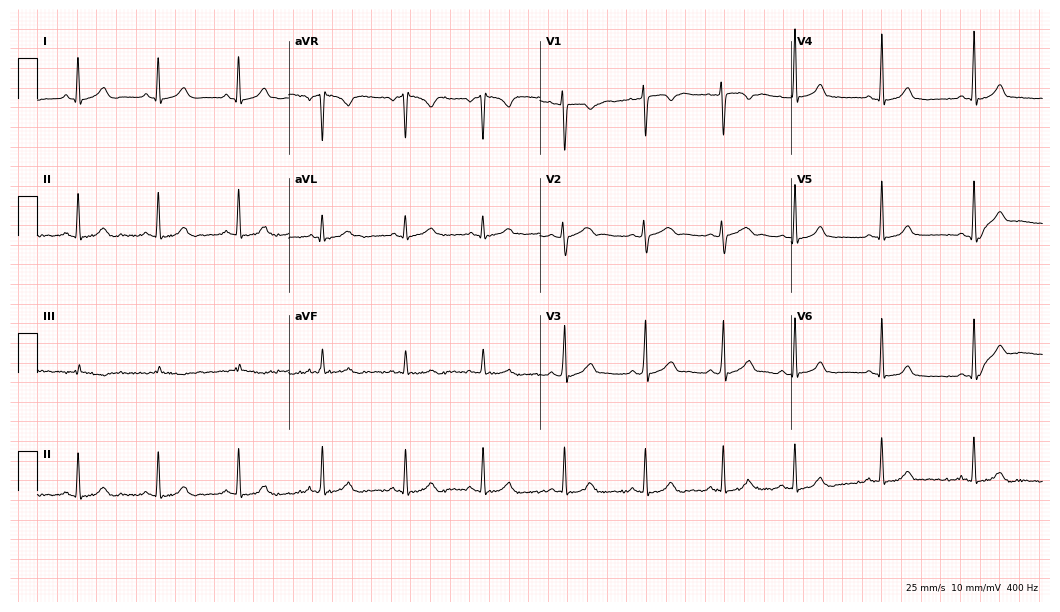
ECG — a female, 20 years old. Labelled as a normal ECG.